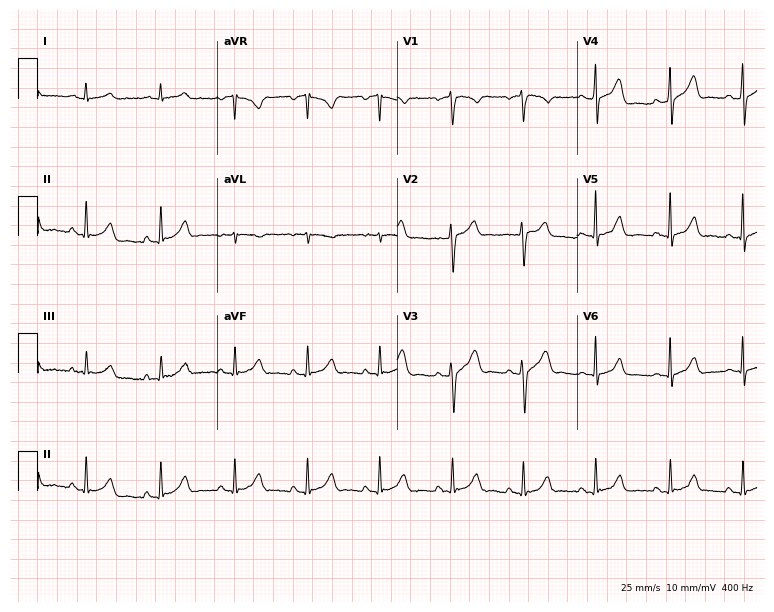
Electrocardiogram, a 37-year-old male patient. Overall reading on record: normal ECG.